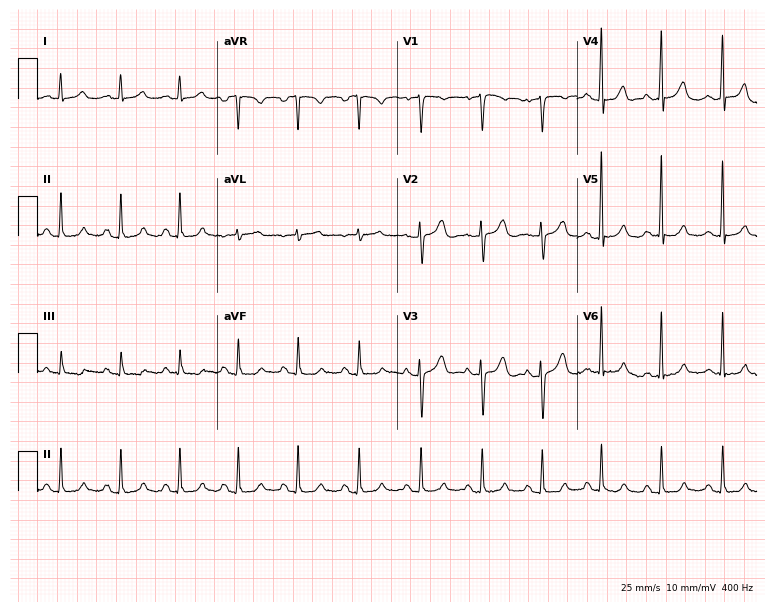
Electrocardiogram (7.3-second recording at 400 Hz), a female, 44 years old. Of the six screened findings (first-degree AV block, right bundle branch block, left bundle branch block, sinus bradycardia, atrial fibrillation, sinus tachycardia), none is recorded.